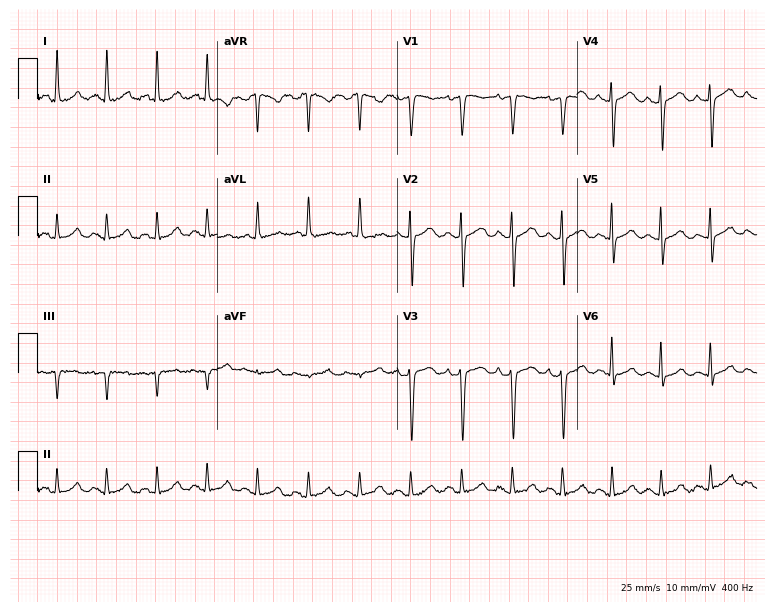
12-lead ECG (7.3-second recording at 400 Hz) from a female, 36 years old. Screened for six findings — first-degree AV block, right bundle branch block, left bundle branch block, sinus bradycardia, atrial fibrillation, sinus tachycardia — none is recorded. Other findings, if any, are not listed.